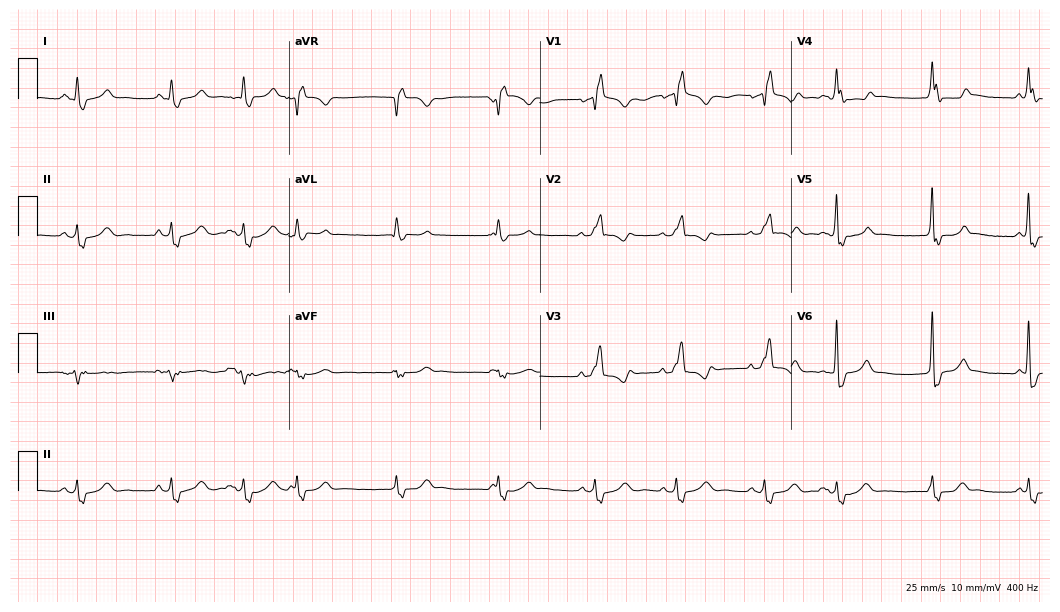
Electrocardiogram, a man, 61 years old. Interpretation includes right bundle branch block.